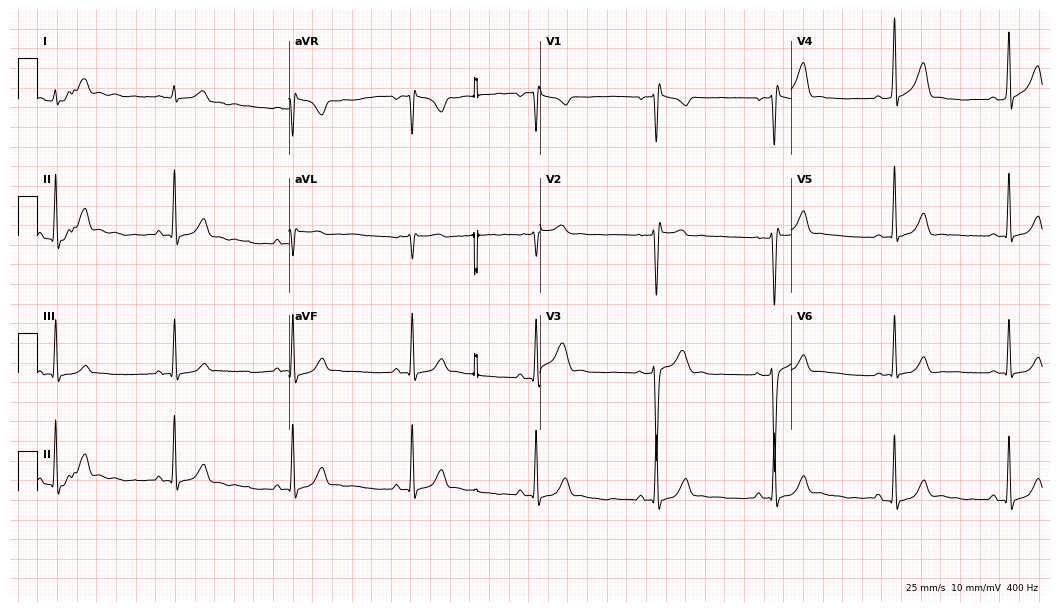
ECG (10.2-second recording at 400 Hz) — a 33-year-old male. Findings include sinus bradycardia (a sinus rate of 50 beats per minute or less).